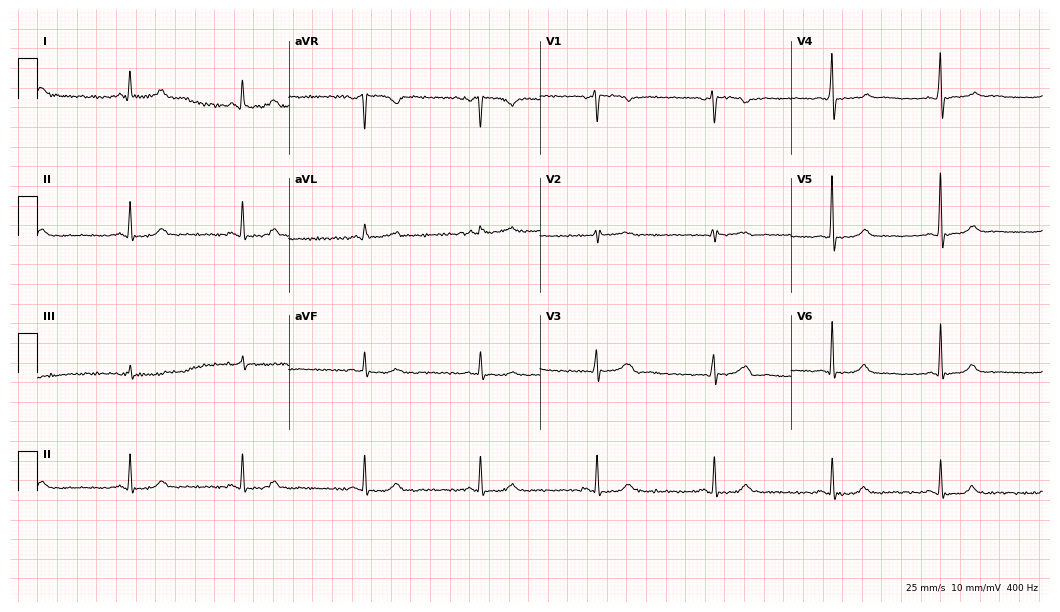
Resting 12-lead electrocardiogram. Patient: a 51-year-old female. Read as a normal ECG.